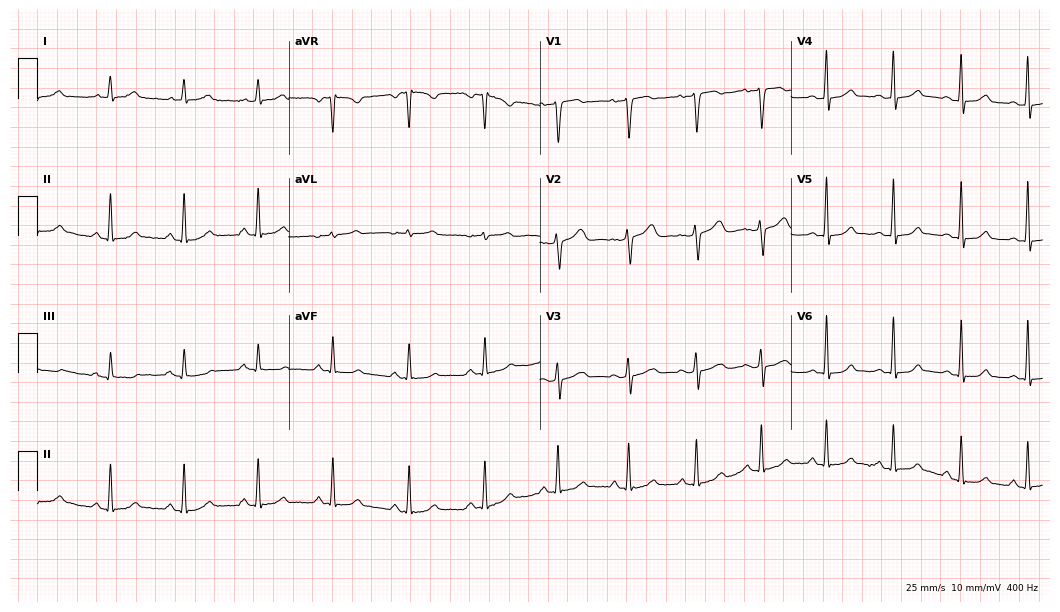
ECG (10.2-second recording at 400 Hz) — a woman, 39 years old. Labelled as a normal ECG.